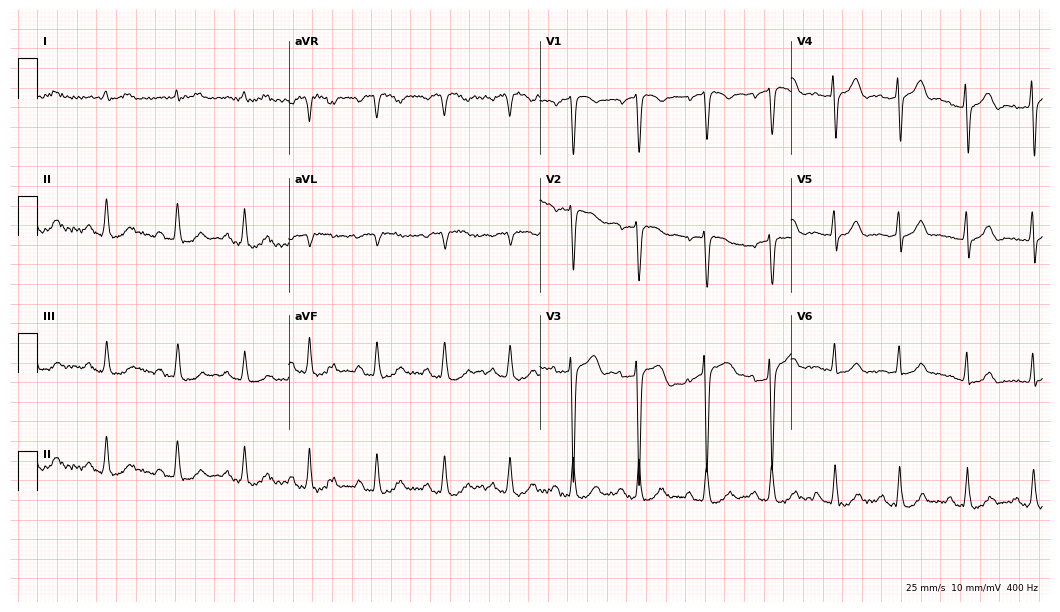
12-lead ECG from a male patient, 63 years old (10.2-second recording at 400 Hz). No first-degree AV block, right bundle branch block, left bundle branch block, sinus bradycardia, atrial fibrillation or sinus tachycardia recorded for this tracing.